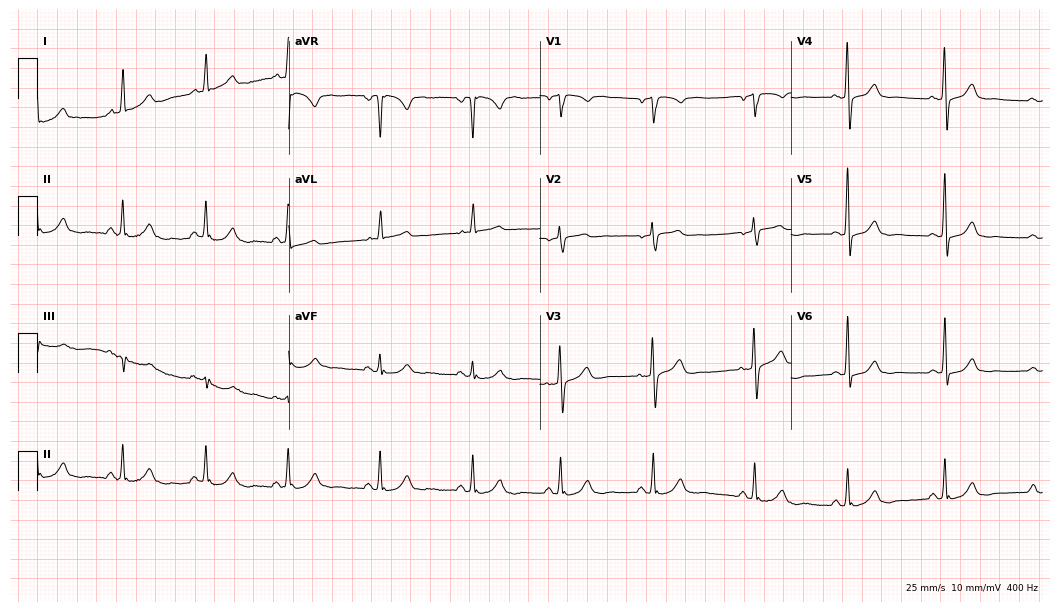
12-lead ECG from a male, 69 years old. No first-degree AV block, right bundle branch block, left bundle branch block, sinus bradycardia, atrial fibrillation or sinus tachycardia recorded for this tracing.